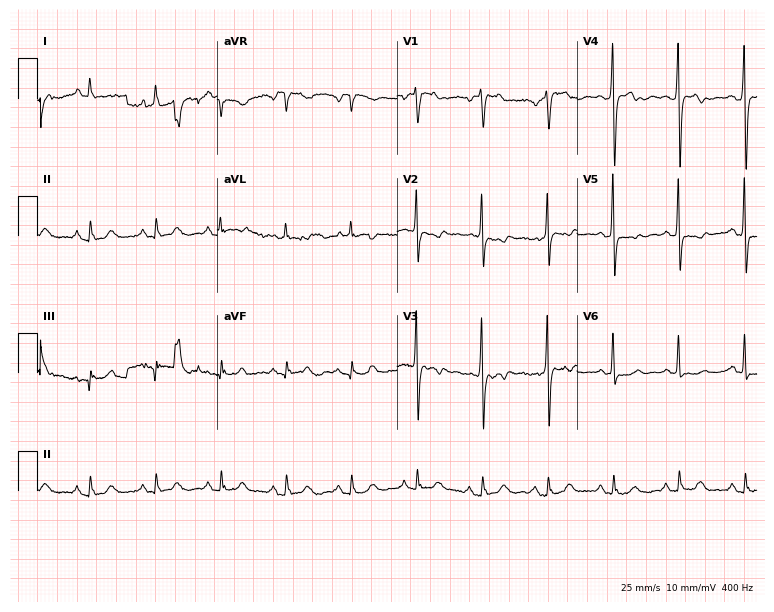
12-lead ECG from a 75-year-old female patient. No first-degree AV block, right bundle branch block, left bundle branch block, sinus bradycardia, atrial fibrillation or sinus tachycardia recorded for this tracing.